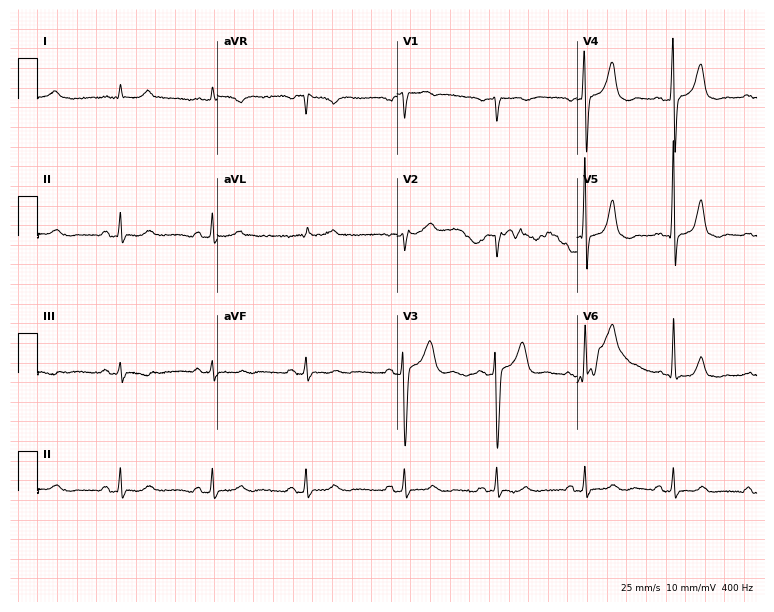
ECG — a male patient, 66 years old. Screened for six findings — first-degree AV block, right bundle branch block, left bundle branch block, sinus bradycardia, atrial fibrillation, sinus tachycardia — none is recorded.